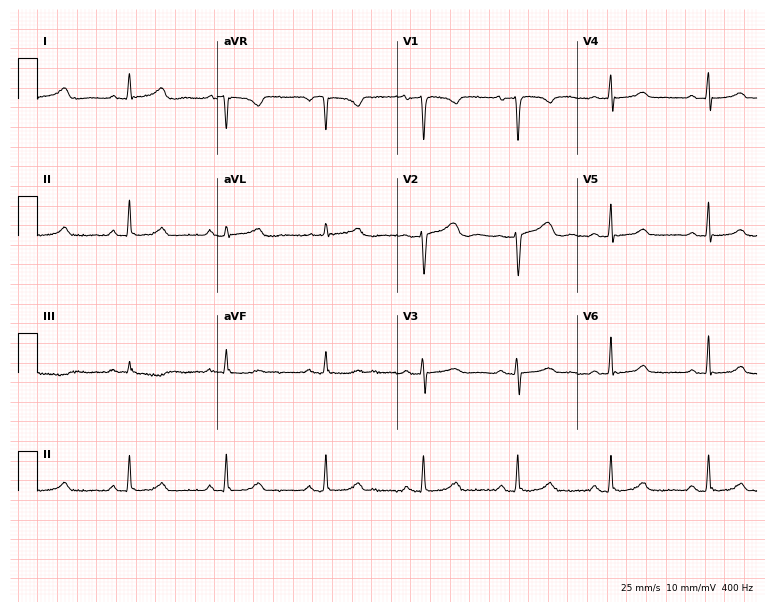
Electrocardiogram (7.3-second recording at 400 Hz), a 33-year-old female. Overall reading on record: normal ECG.